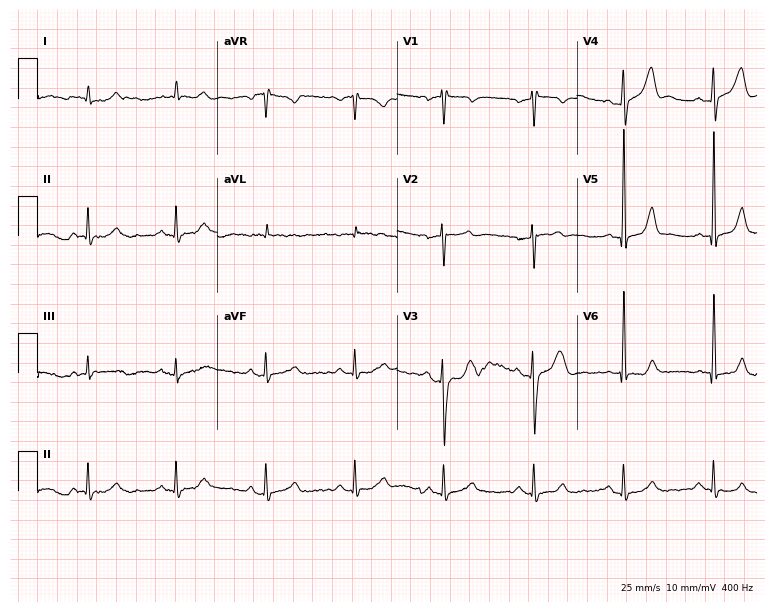
12-lead ECG from a male patient, 48 years old. Labelled as a normal ECG.